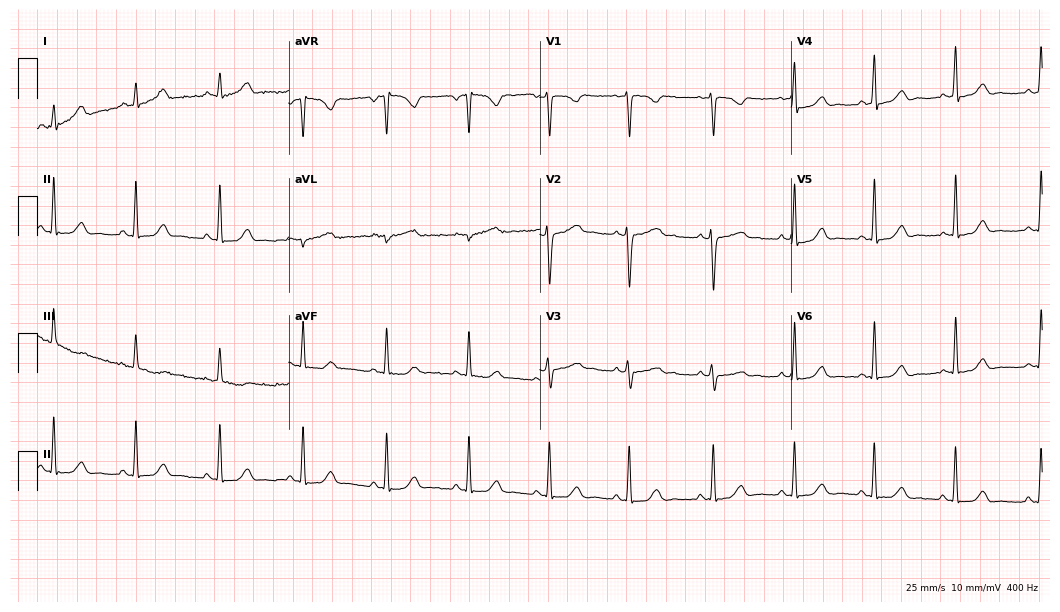
Resting 12-lead electrocardiogram. Patient: a female, 21 years old. Read as a normal ECG.